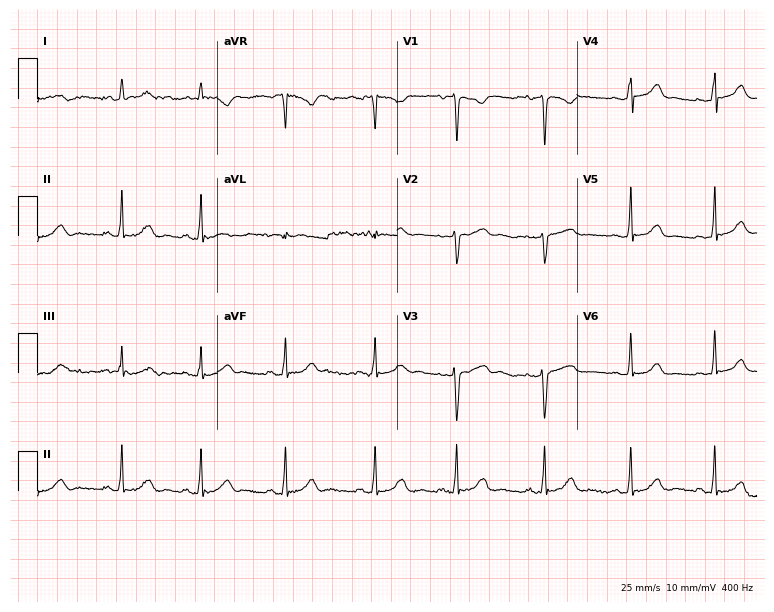
12-lead ECG from a 19-year-old female patient. Recorded interpretation: within normal limits.